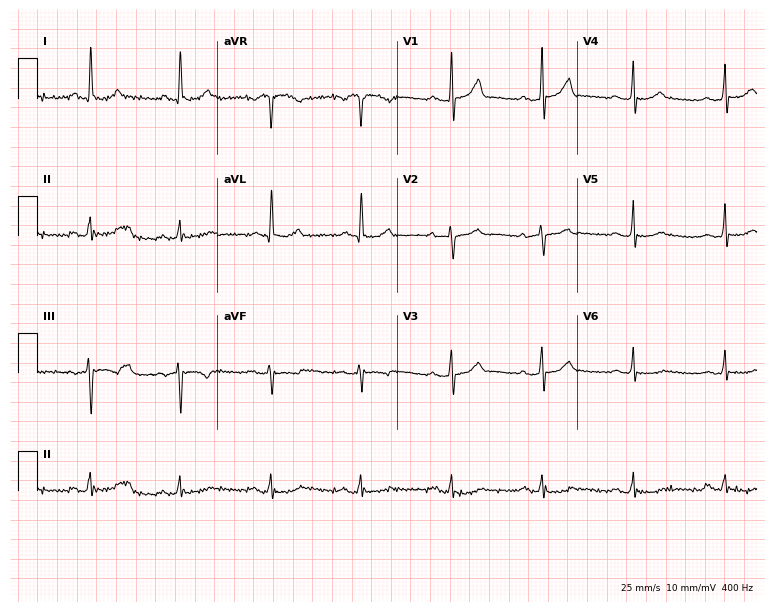
12-lead ECG from a female, 64 years old. No first-degree AV block, right bundle branch block, left bundle branch block, sinus bradycardia, atrial fibrillation or sinus tachycardia recorded for this tracing.